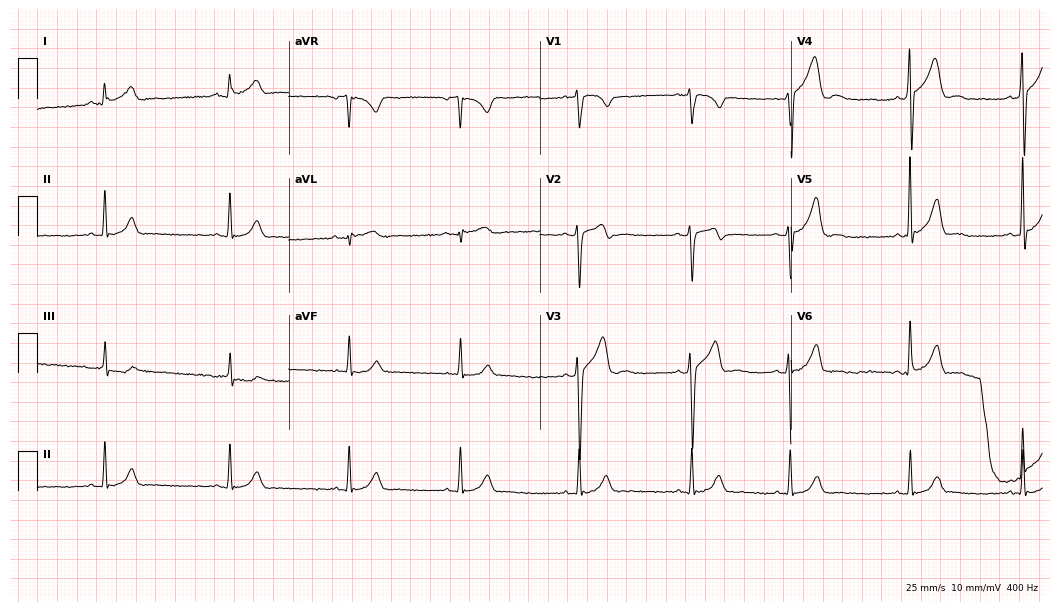
Electrocardiogram, a man, 22 years old. Of the six screened findings (first-degree AV block, right bundle branch block, left bundle branch block, sinus bradycardia, atrial fibrillation, sinus tachycardia), none is recorded.